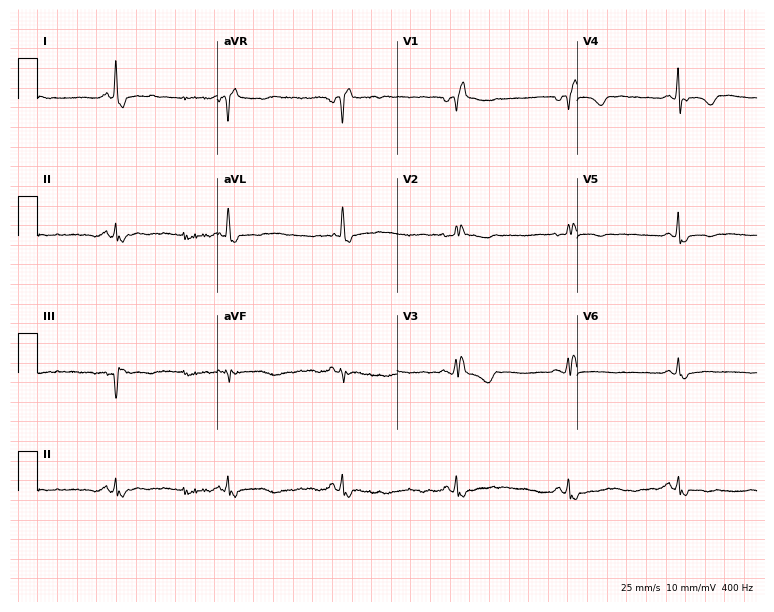
ECG (7.3-second recording at 400 Hz) — a female, 72 years old. Findings include right bundle branch block.